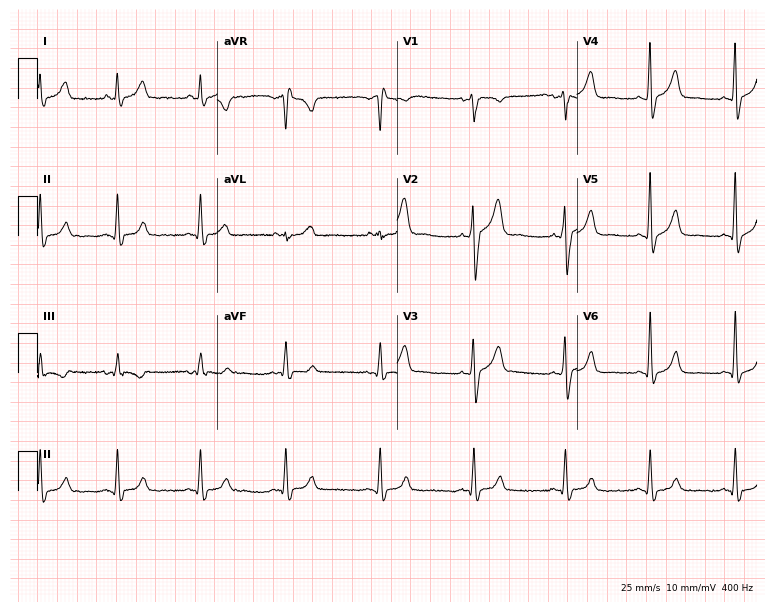
ECG (7.3-second recording at 400 Hz) — a man, 25 years old. Screened for six findings — first-degree AV block, right bundle branch block, left bundle branch block, sinus bradycardia, atrial fibrillation, sinus tachycardia — none is recorded. Only these six findings were labelled.